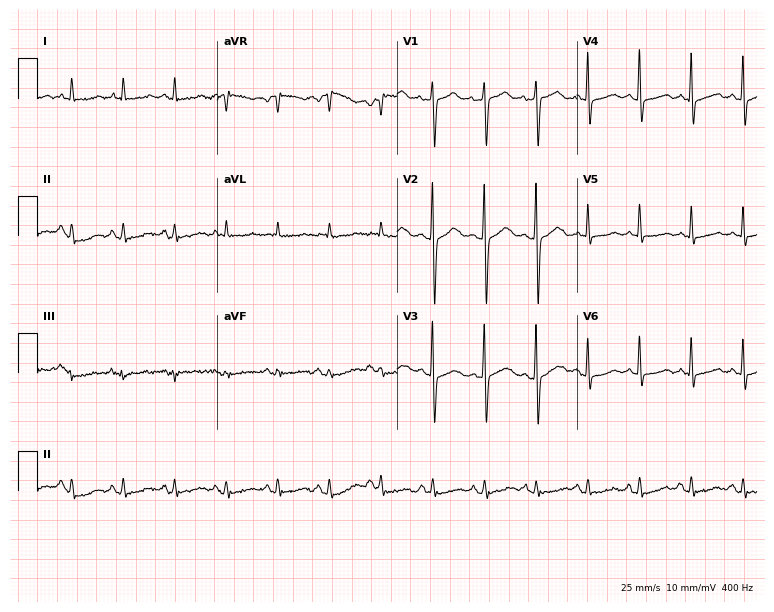
ECG (7.3-second recording at 400 Hz) — a woman, 71 years old. Findings include sinus tachycardia (a sinus rate of 100 beats per minute or more).